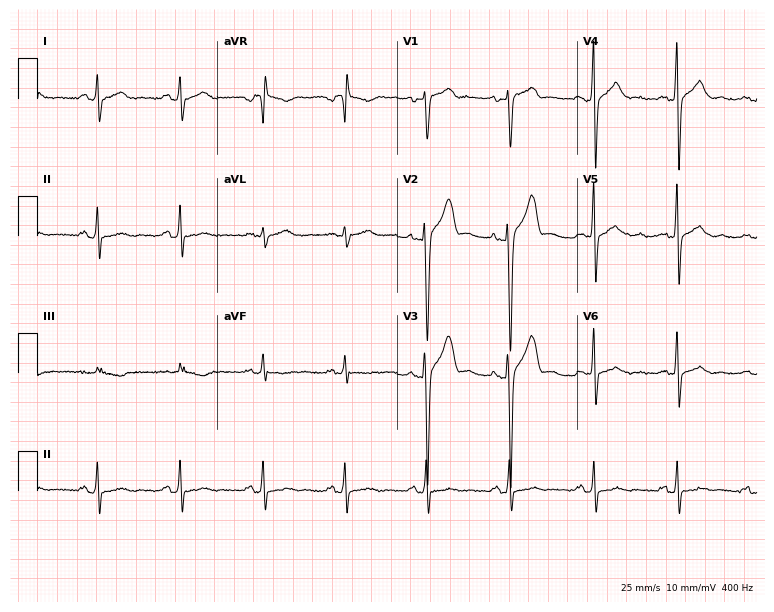
Resting 12-lead electrocardiogram. Patient: a male, 33 years old. Read as a normal ECG.